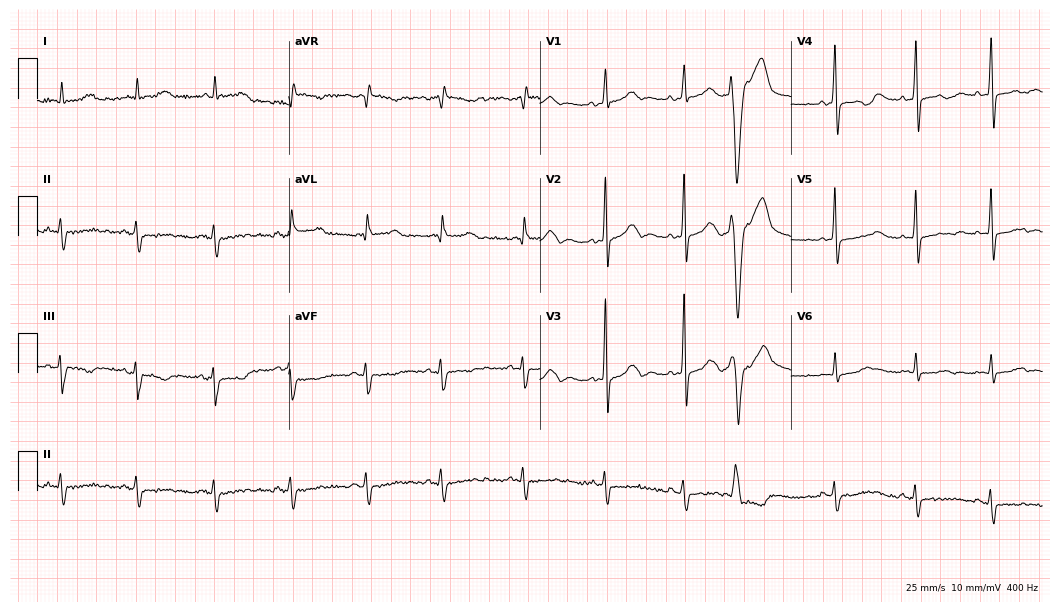
12-lead ECG from a woman, 77 years old. No first-degree AV block, right bundle branch block, left bundle branch block, sinus bradycardia, atrial fibrillation or sinus tachycardia recorded for this tracing.